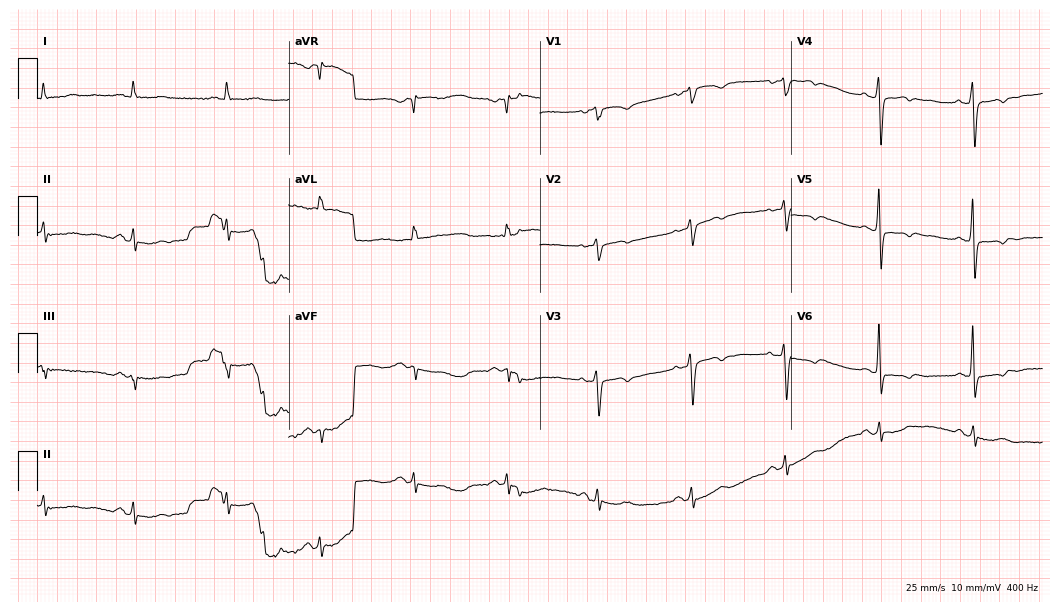
Standard 12-lead ECG recorded from a female, 68 years old. None of these six findings is recorded: first-degree AV block, right bundle branch block (RBBB), left bundle branch block (LBBB), sinus bradycardia, atrial fibrillation (AF), sinus tachycardia. Only these six findings were labelled.